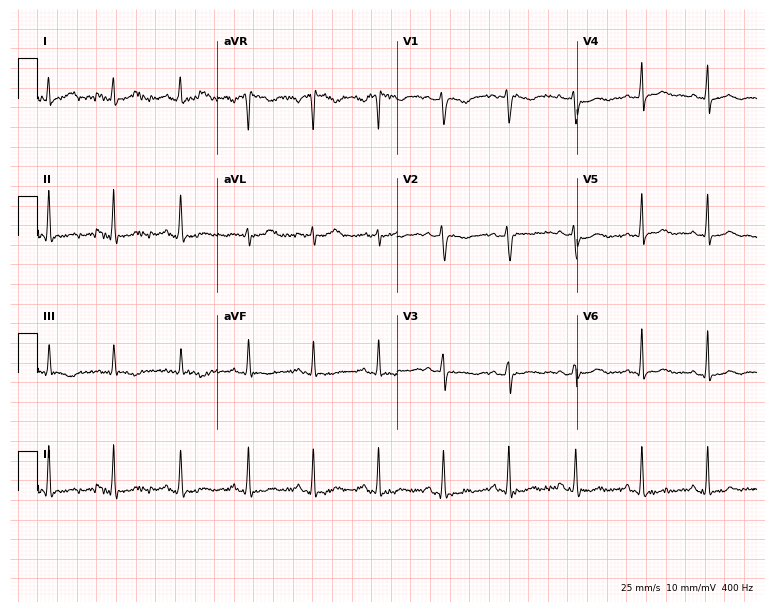
12-lead ECG from a woman, 40 years old. Screened for six findings — first-degree AV block, right bundle branch block, left bundle branch block, sinus bradycardia, atrial fibrillation, sinus tachycardia — none is recorded. Other findings, if any, are not listed.